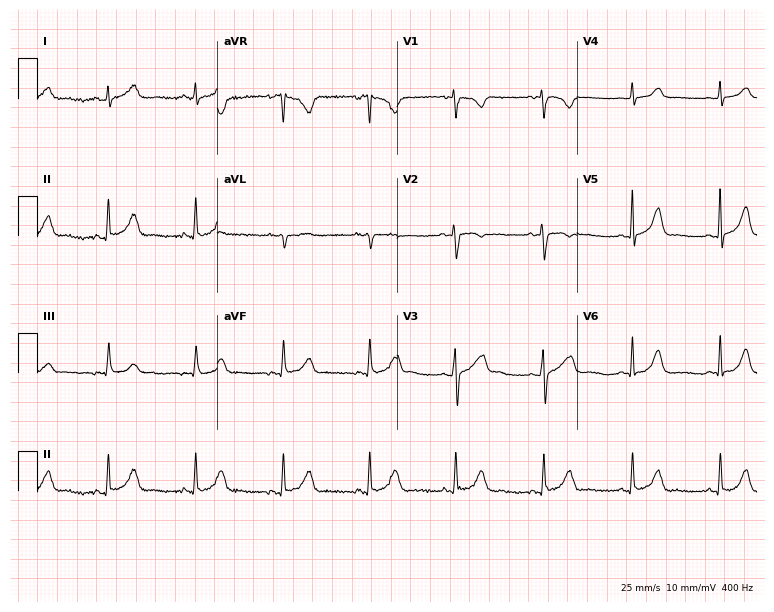
Standard 12-lead ECG recorded from a woman, 55 years old. Read as a normal ECG.